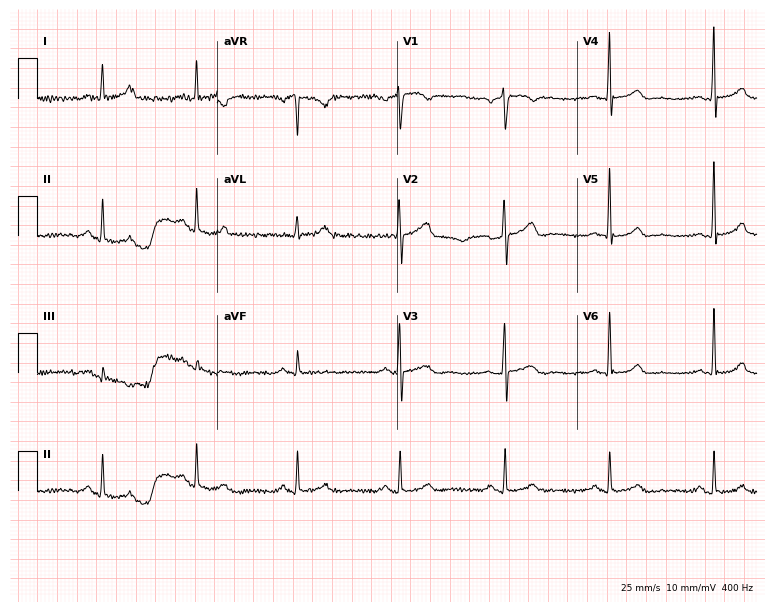
ECG (7.3-second recording at 400 Hz) — a male patient, 62 years old. Labelled as a normal ECG.